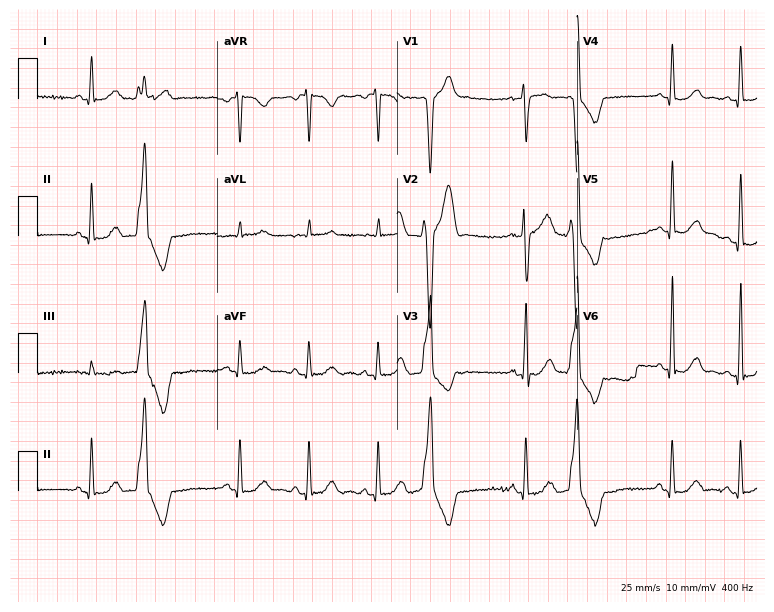
Electrocardiogram, a male, 40 years old. Of the six screened findings (first-degree AV block, right bundle branch block, left bundle branch block, sinus bradycardia, atrial fibrillation, sinus tachycardia), none is recorded.